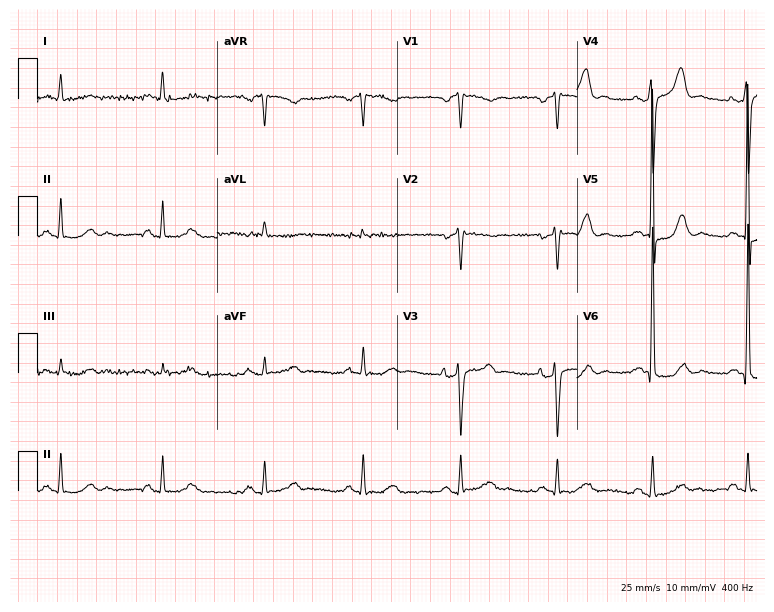
12-lead ECG from a 74-year-old male. Screened for six findings — first-degree AV block, right bundle branch block, left bundle branch block, sinus bradycardia, atrial fibrillation, sinus tachycardia — none is recorded. Findings outside these six are not listed.